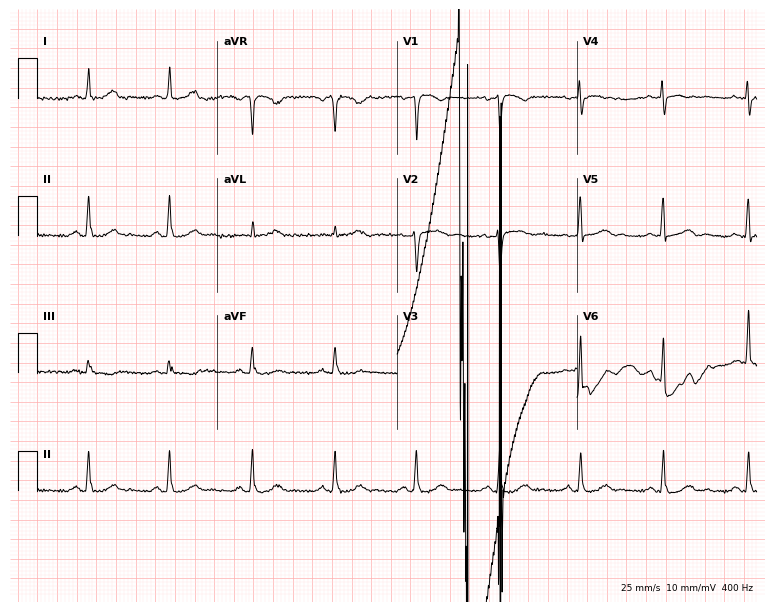
Electrocardiogram, a female patient, 75 years old. Of the six screened findings (first-degree AV block, right bundle branch block (RBBB), left bundle branch block (LBBB), sinus bradycardia, atrial fibrillation (AF), sinus tachycardia), none is recorded. Only these six findings were labelled.